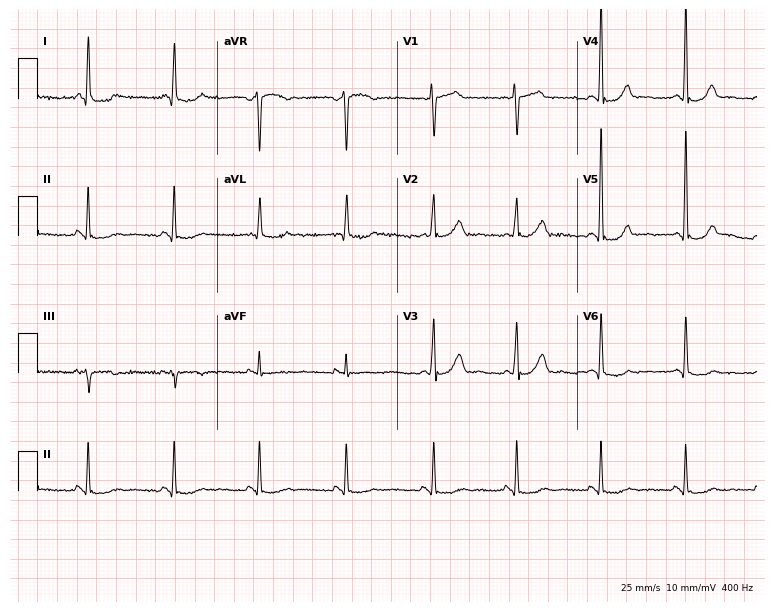
Resting 12-lead electrocardiogram (7.3-second recording at 400 Hz). Patient: a woman, 63 years old. None of these six findings is recorded: first-degree AV block, right bundle branch block (RBBB), left bundle branch block (LBBB), sinus bradycardia, atrial fibrillation (AF), sinus tachycardia.